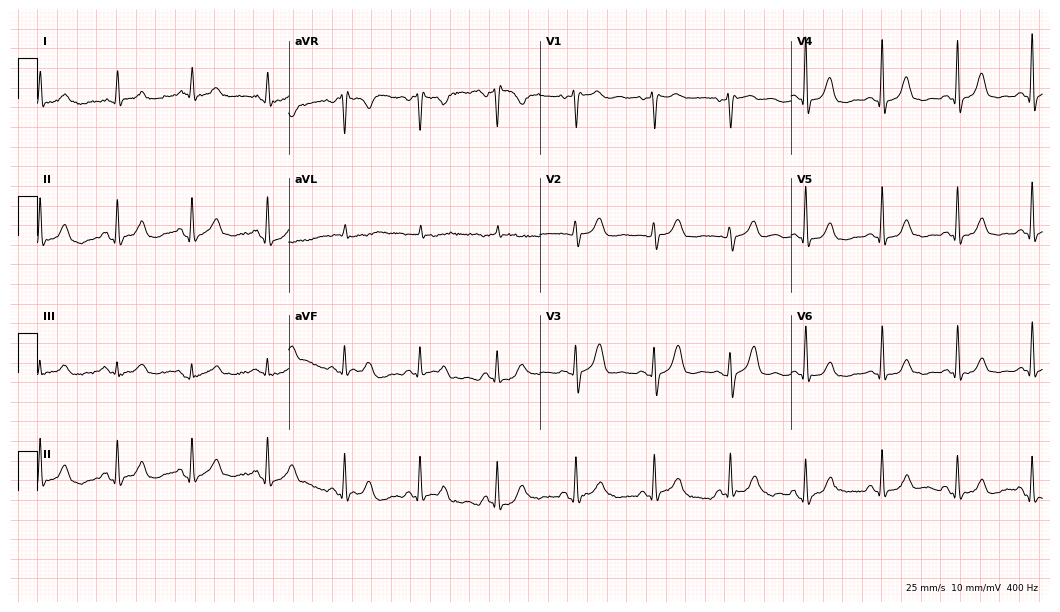
12-lead ECG (10.2-second recording at 400 Hz) from a 77-year-old female. Labelled as a normal ECG.